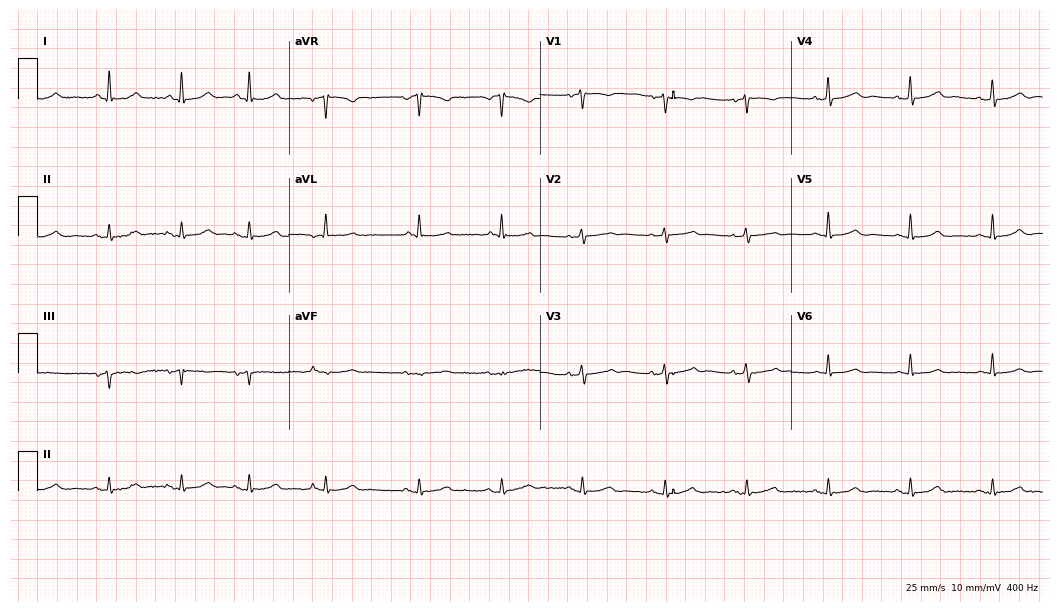
12-lead ECG (10.2-second recording at 400 Hz) from an 85-year-old female. Labelled as a normal ECG.